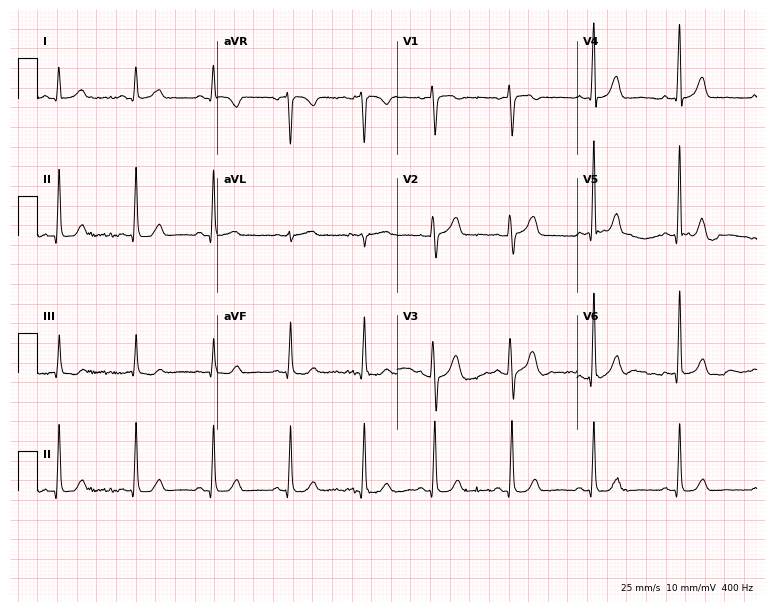
Standard 12-lead ECG recorded from a woman, 52 years old. Read as a normal ECG.